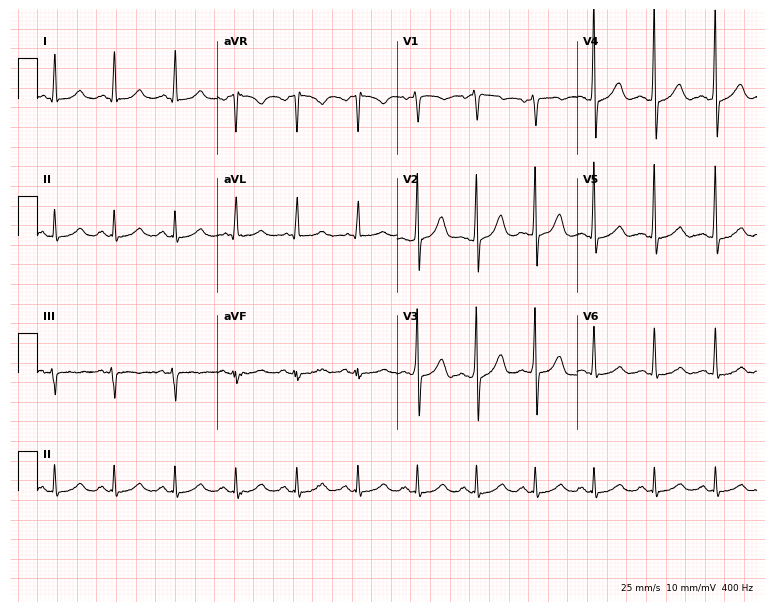
12-lead ECG from a male patient, 63 years old. Screened for six findings — first-degree AV block, right bundle branch block, left bundle branch block, sinus bradycardia, atrial fibrillation, sinus tachycardia — none is recorded.